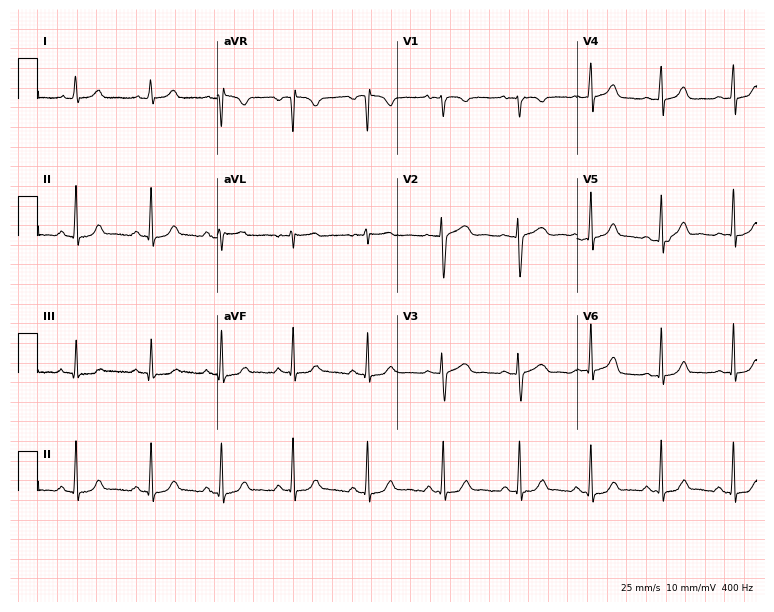
Electrocardiogram (7.3-second recording at 400 Hz), a woman, 17 years old. Overall reading on record: normal ECG.